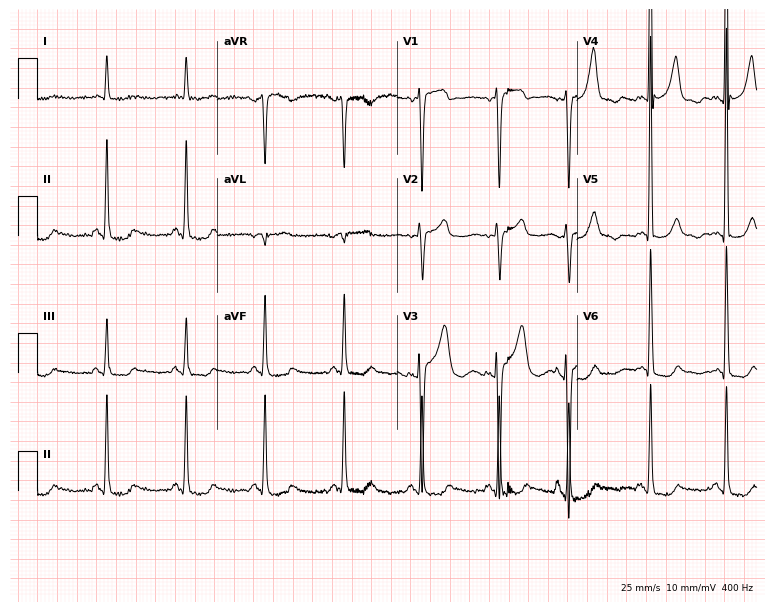
Electrocardiogram, a 61-year-old female. Of the six screened findings (first-degree AV block, right bundle branch block (RBBB), left bundle branch block (LBBB), sinus bradycardia, atrial fibrillation (AF), sinus tachycardia), none is recorded. Only these six findings were labelled.